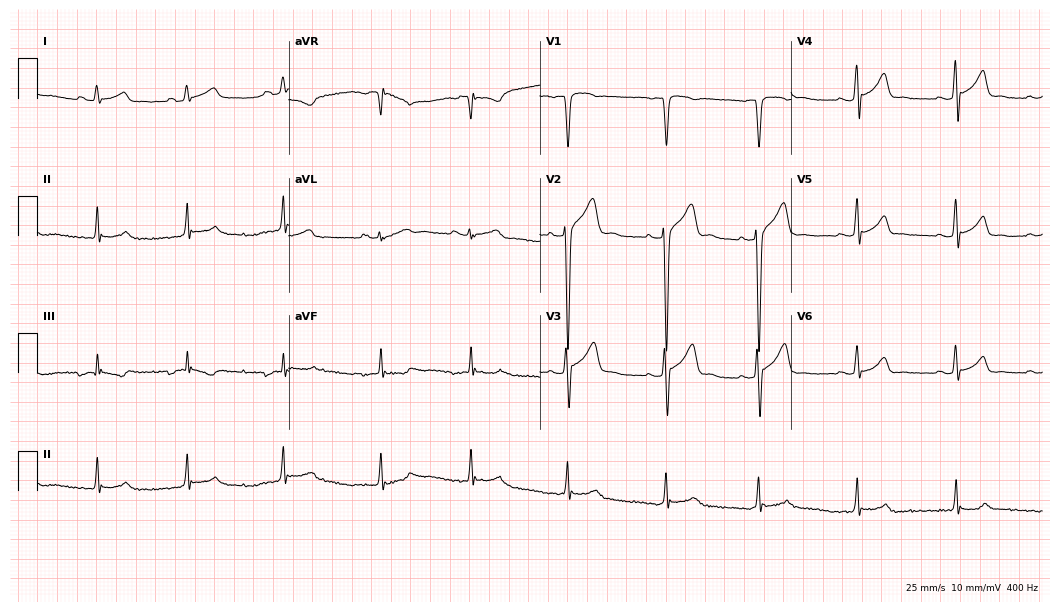
Standard 12-lead ECG recorded from a 17-year-old male patient (10.2-second recording at 400 Hz). Read as a normal ECG.